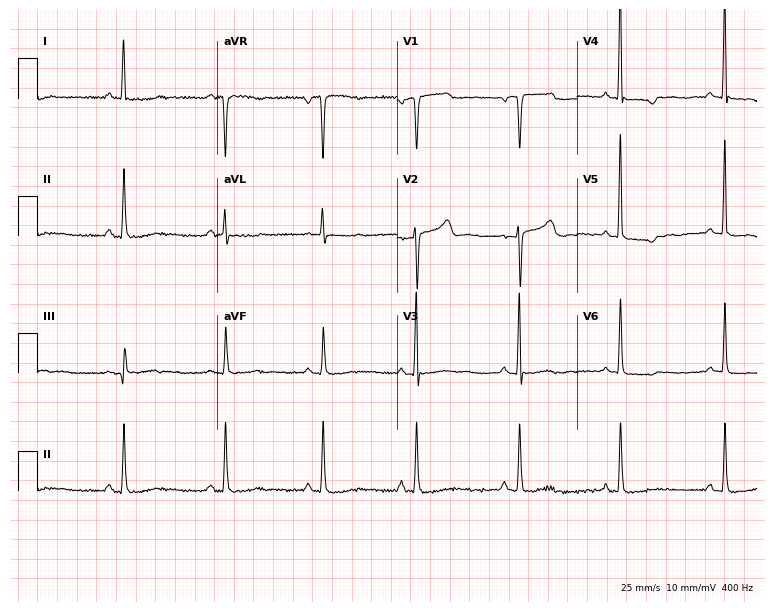
12-lead ECG (7.3-second recording at 400 Hz) from a female, 55 years old. Screened for six findings — first-degree AV block, right bundle branch block, left bundle branch block, sinus bradycardia, atrial fibrillation, sinus tachycardia — none is recorded. Findings outside these six are not listed.